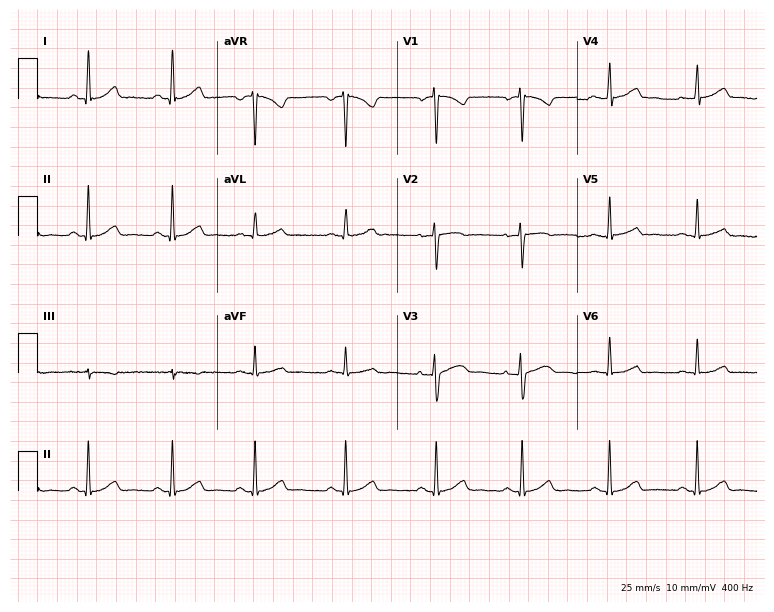
12-lead ECG from a 37-year-old female patient. Recorded interpretation: within normal limits.